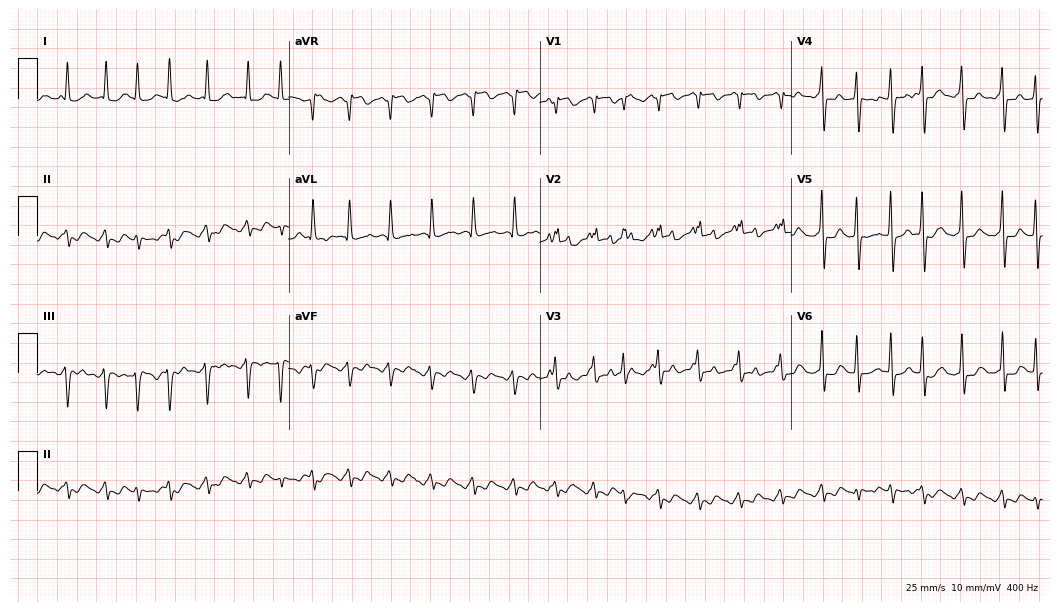
12-lead ECG from a female patient, 78 years old. No first-degree AV block, right bundle branch block, left bundle branch block, sinus bradycardia, atrial fibrillation or sinus tachycardia recorded for this tracing.